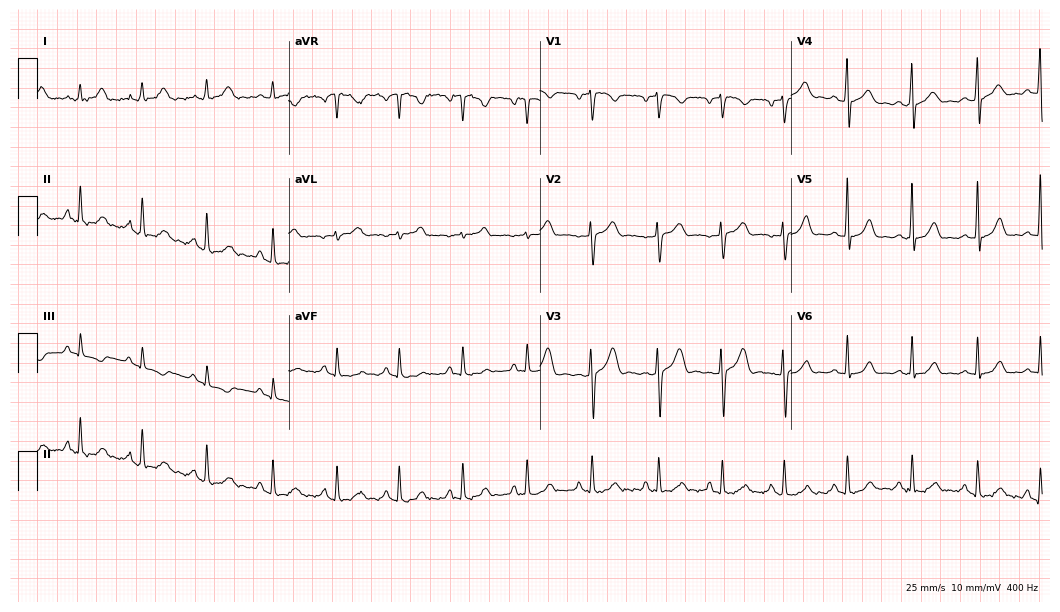
ECG (10.2-second recording at 400 Hz) — a woman, 19 years old. Labelled as a normal ECG.